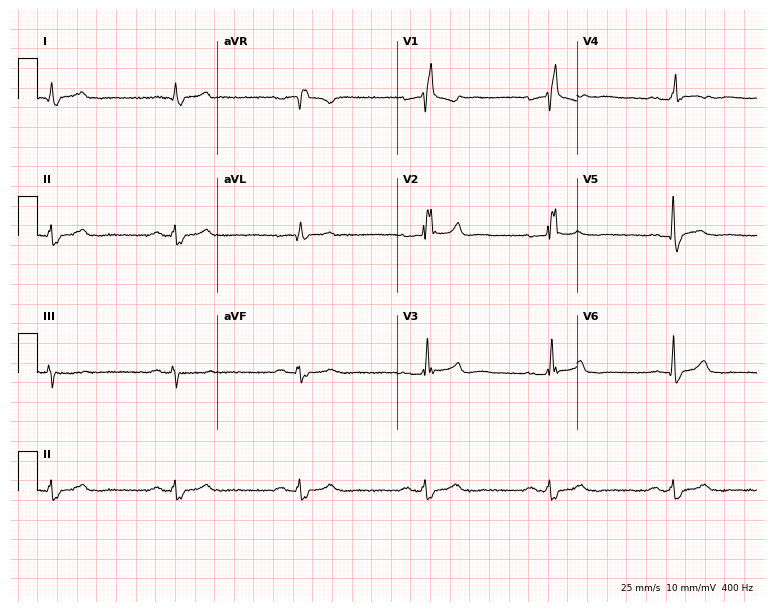
ECG (7.3-second recording at 400 Hz) — a 53-year-old male. Findings include right bundle branch block (RBBB), sinus bradycardia (a sinus rate of 50 beats per minute or less).